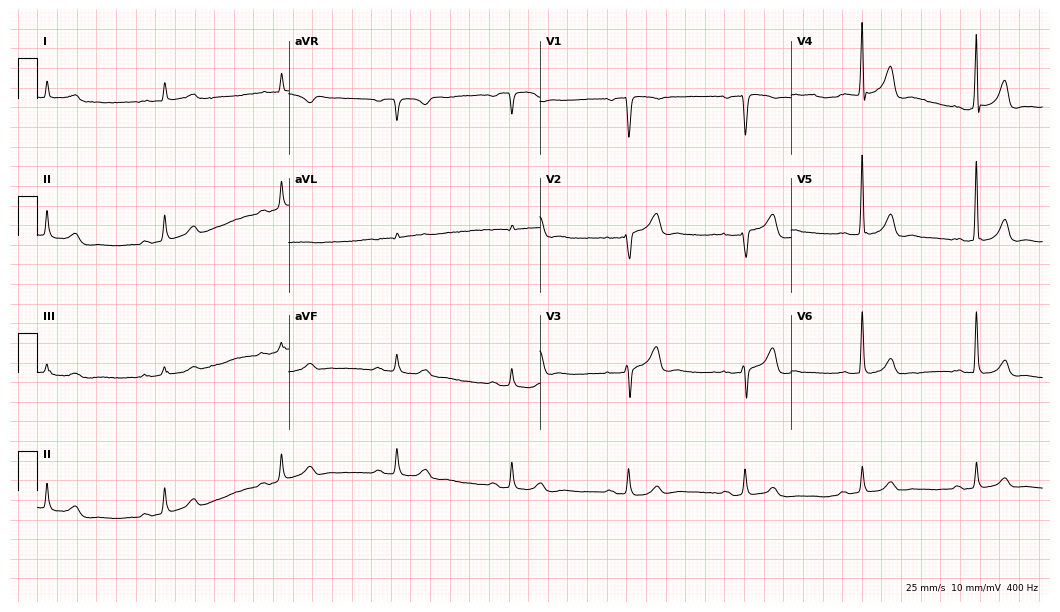
12-lead ECG from a 78-year-old man. Shows first-degree AV block.